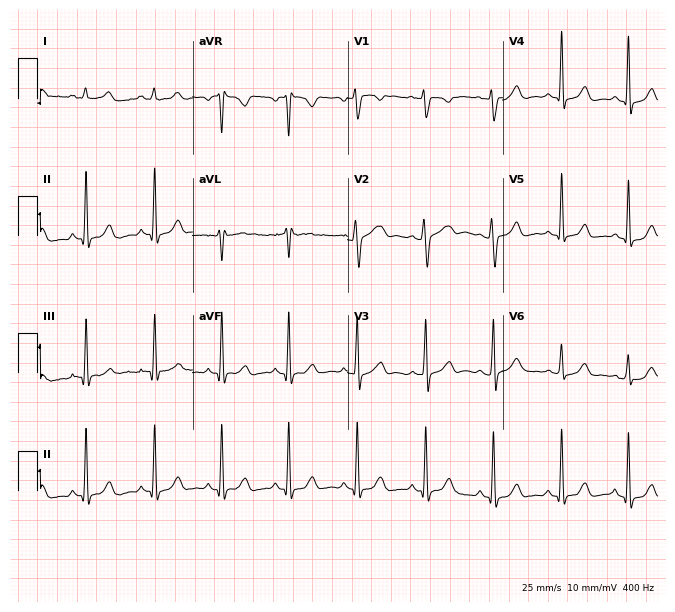
12-lead ECG from a 31-year-old female patient. Labelled as a normal ECG.